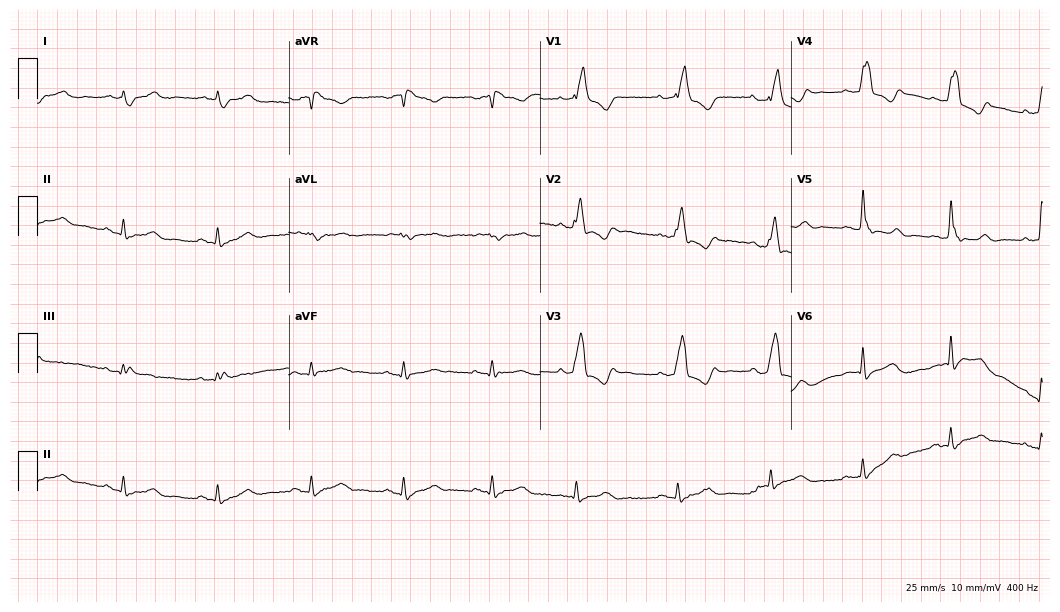
ECG (10.2-second recording at 400 Hz) — a woman, 75 years old. Findings include right bundle branch block.